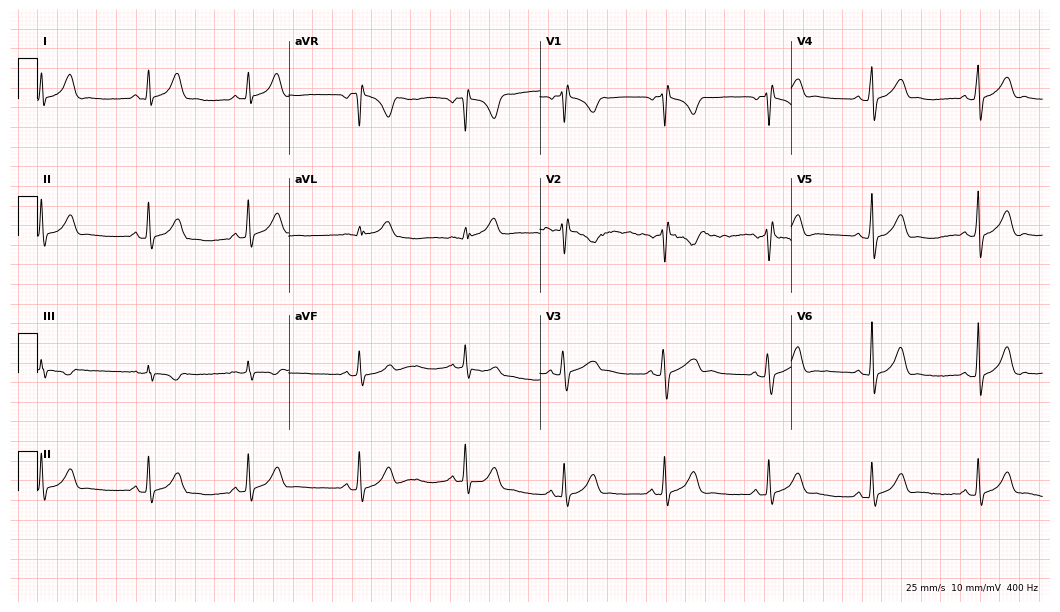
Electrocardiogram (10.2-second recording at 400 Hz), a 32-year-old female patient. Overall reading on record: normal ECG.